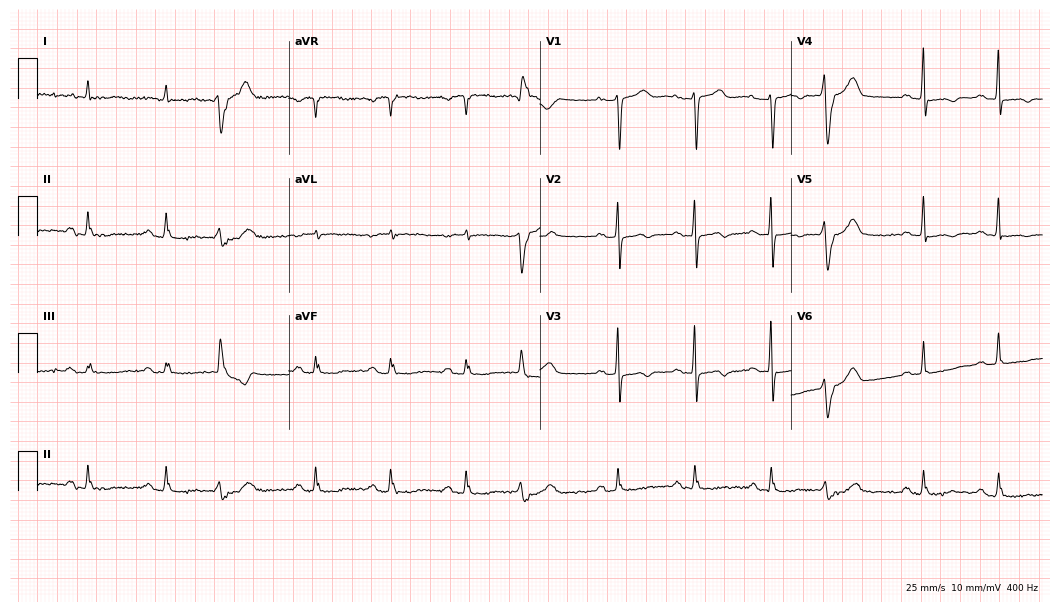
Resting 12-lead electrocardiogram. Patient: a 77-year-old woman. None of these six findings is recorded: first-degree AV block, right bundle branch block, left bundle branch block, sinus bradycardia, atrial fibrillation, sinus tachycardia. Other findings, if any, are not listed.